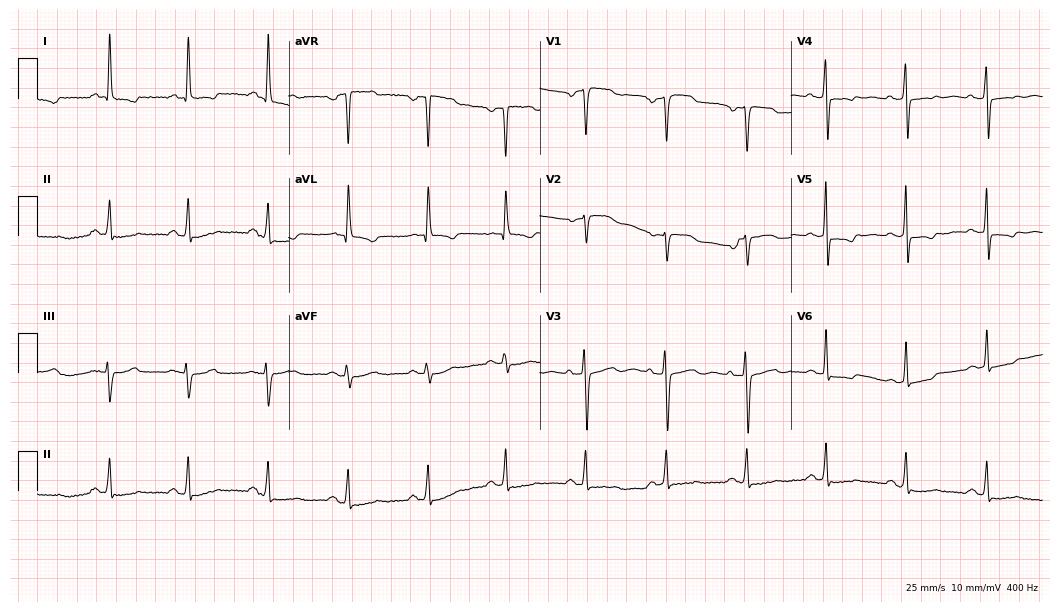
Resting 12-lead electrocardiogram (10.2-second recording at 400 Hz). Patient: a female, 55 years old. None of these six findings is recorded: first-degree AV block, right bundle branch block, left bundle branch block, sinus bradycardia, atrial fibrillation, sinus tachycardia.